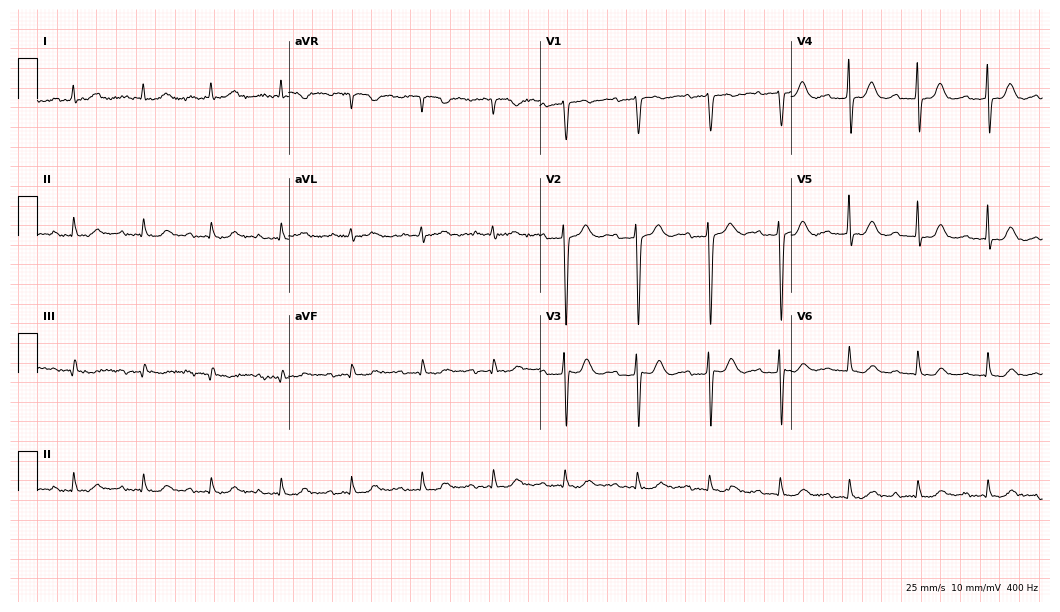
Standard 12-lead ECG recorded from a female patient, 83 years old (10.2-second recording at 400 Hz). None of these six findings is recorded: first-degree AV block, right bundle branch block, left bundle branch block, sinus bradycardia, atrial fibrillation, sinus tachycardia. Findings outside these six are not listed.